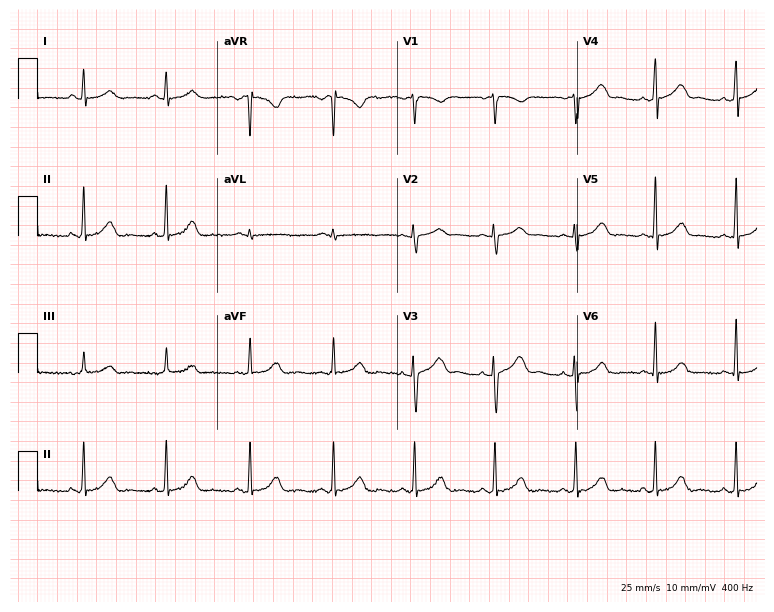
Standard 12-lead ECG recorded from a 21-year-old female. Read as a normal ECG.